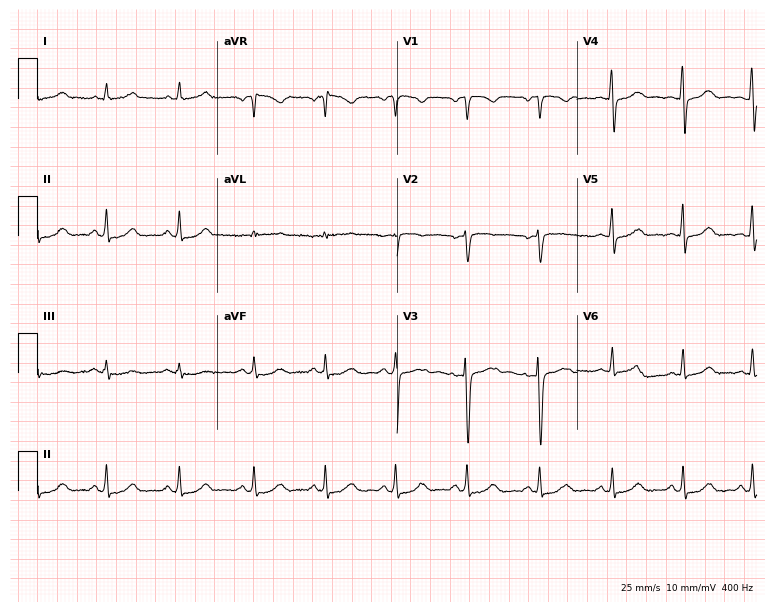
12-lead ECG from a 40-year-old female patient. Recorded interpretation: within normal limits.